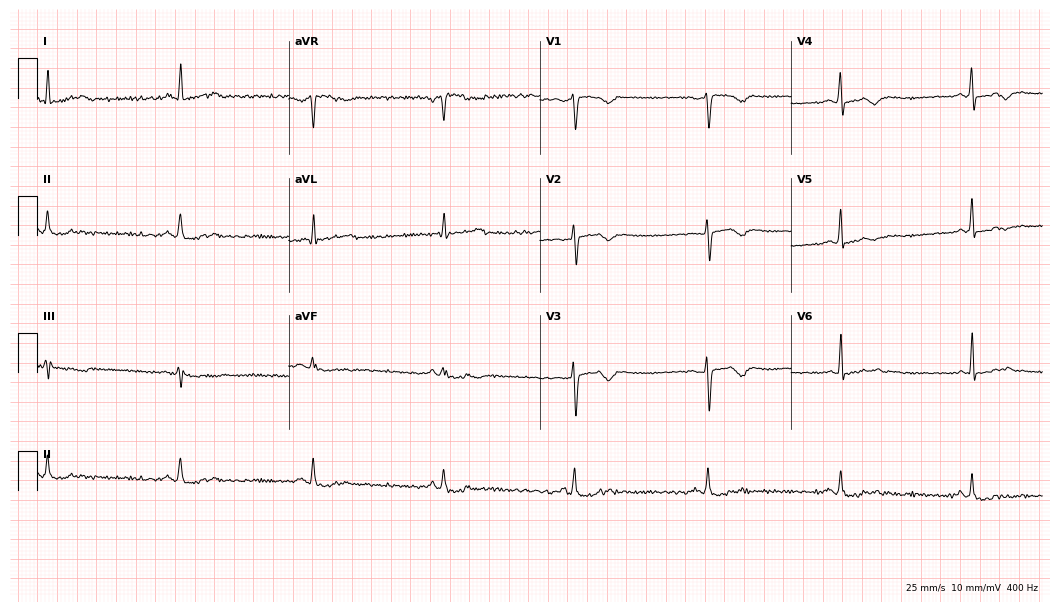
Resting 12-lead electrocardiogram. Patient: a woman, 31 years old. None of these six findings is recorded: first-degree AV block, right bundle branch block, left bundle branch block, sinus bradycardia, atrial fibrillation, sinus tachycardia.